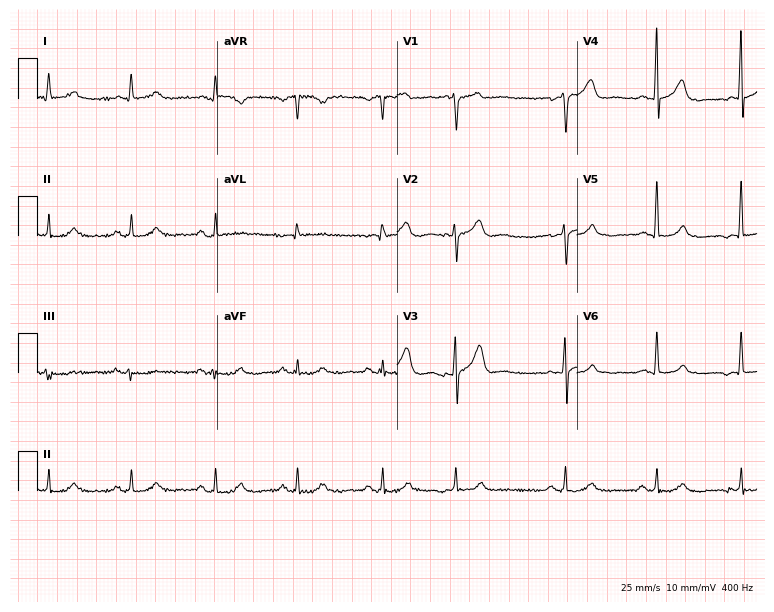
Electrocardiogram, a 71-year-old male patient. Of the six screened findings (first-degree AV block, right bundle branch block, left bundle branch block, sinus bradycardia, atrial fibrillation, sinus tachycardia), none is recorded.